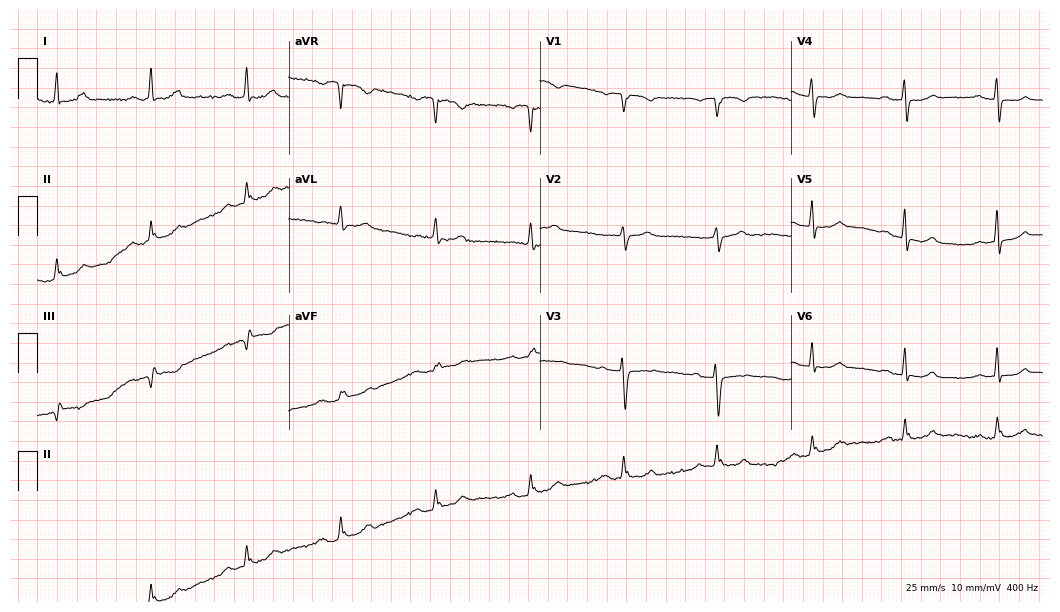
ECG (10.2-second recording at 400 Hz) — a female, 85 years old. Screened for six findings — first-degree AV block, right bundle branch block (RBBB), left bundle branch block (LBBB), sinus bradycardia, atrial fibrillation (AF), sinus tachycardia — none is recorded. Only these six findings were labelled.